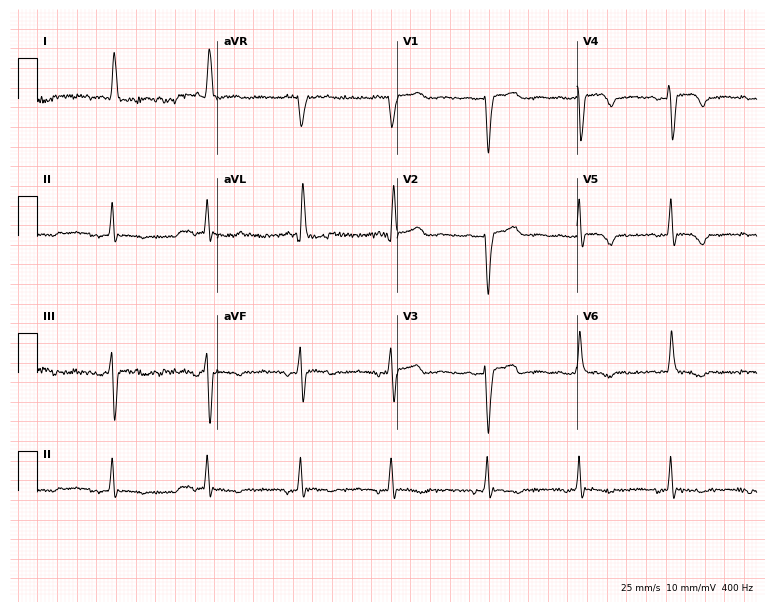
12-lead ECG from a 72-year-old female patient (7.3-second recording at 400 Hz). No first-degree AV block, right bundle branch block, left bundle branch block, sinus bradycardia, atrial fibrillation or sinus tachycardia recorded for this tracing. Only these six findings were labelled.